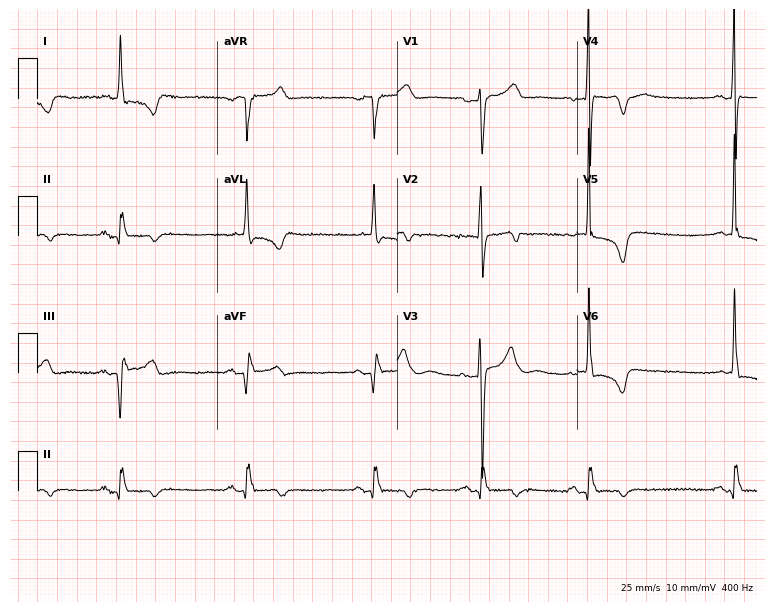
Electrocardiogram (7.3-second recording at 400 Hz), a 67-year-old woman. Interpretation includes sinus bradycardia (a sinus rate of 50 beats per minute or less).